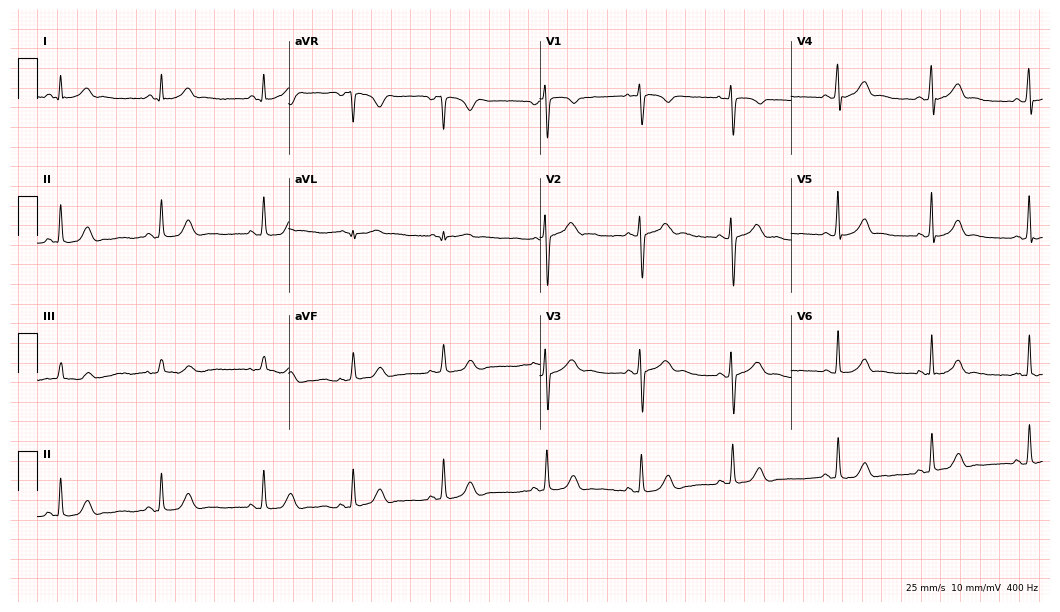
Resting 12-lead electrocardiogram. Patient: a woman, 20 years old. Read as a normal ECG.